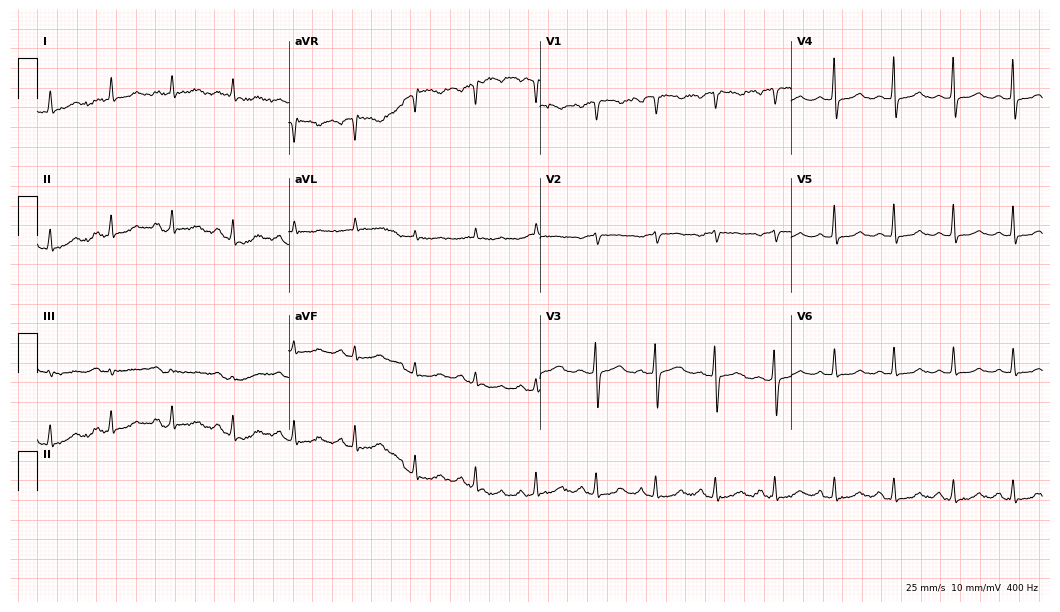
Resting 12-lead electrocardiogram. Patient: a woman, 62 years old. None of these six findings is recorded: first-degree AV block, right bundle branch block, left bundle branch block, sinus bradycardia, atrial fibrillation, sinus tachycardia. Findings outside these six are not listed.